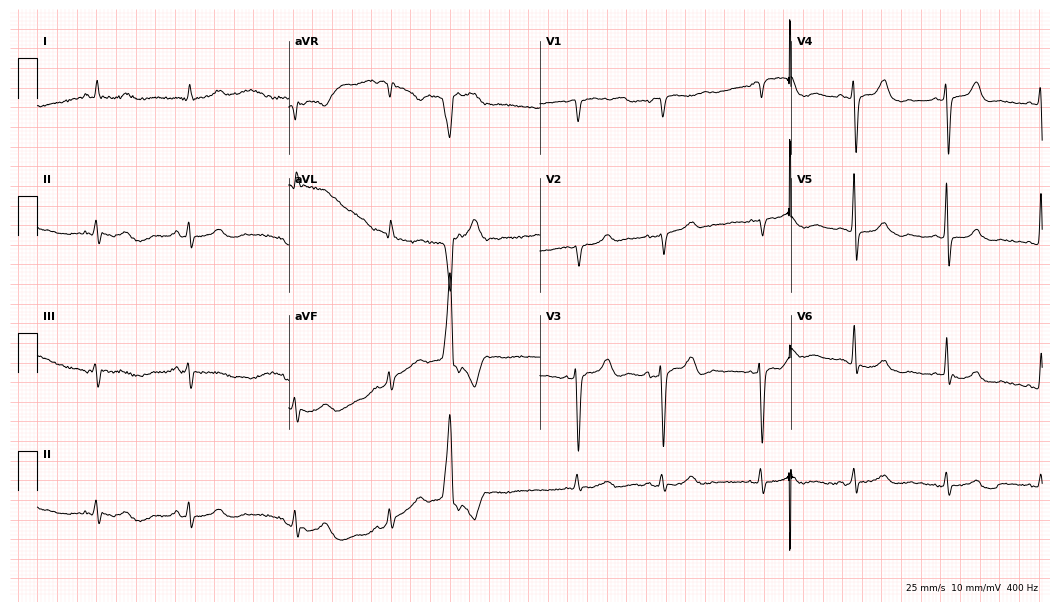
12-lead ECG (10.2-second recording at 400 Hz) from an 84-year-old male. Screened for six findings — first-degree AV block, right bundle branch block, left bundle branch block, sinus bradycardia, atrial fibrillation, sinus tachycardia — none is recorded. Other findings, if any, are not listed.